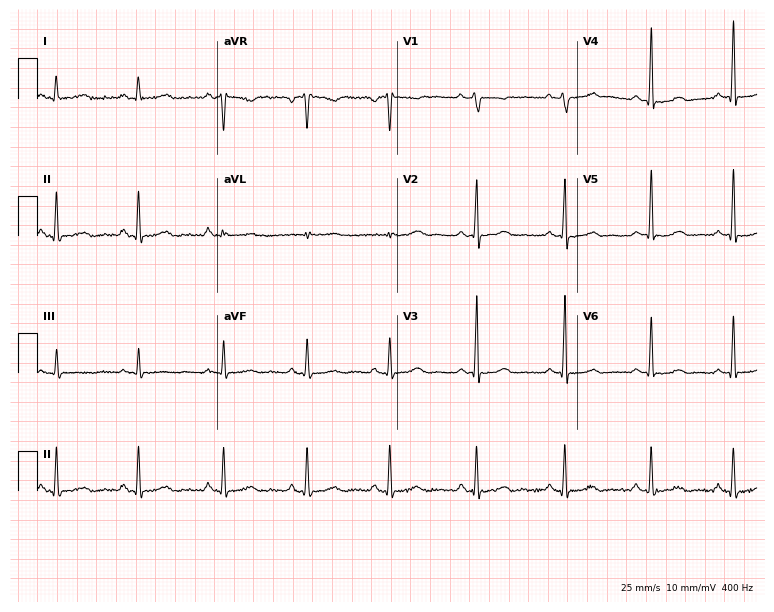
12-lead ECG from a 44-year-old female patient (7.3-second recording at 400 Hz). No first-degree AV block, right bundle branch block, left bundle branch block, sinus bradycardia, atrial fibrillation or sinus tachycardia recorded for this tracing. Findings outside these six are not listed.